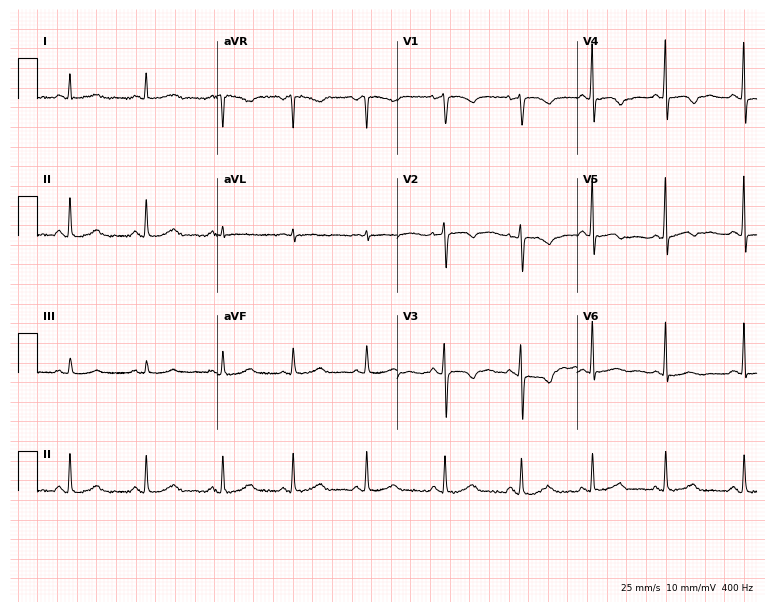
12-lead ECG (7.3-second recording at 400 Hz) from a 51-year-old female patient. Screened for six findings — first-degree AV block, right bundle branch block, left bundle branch block, sinus bradycardia, atrial fibrillation, sinus tachycardia — none is recorded. Only these six findings were labelled.